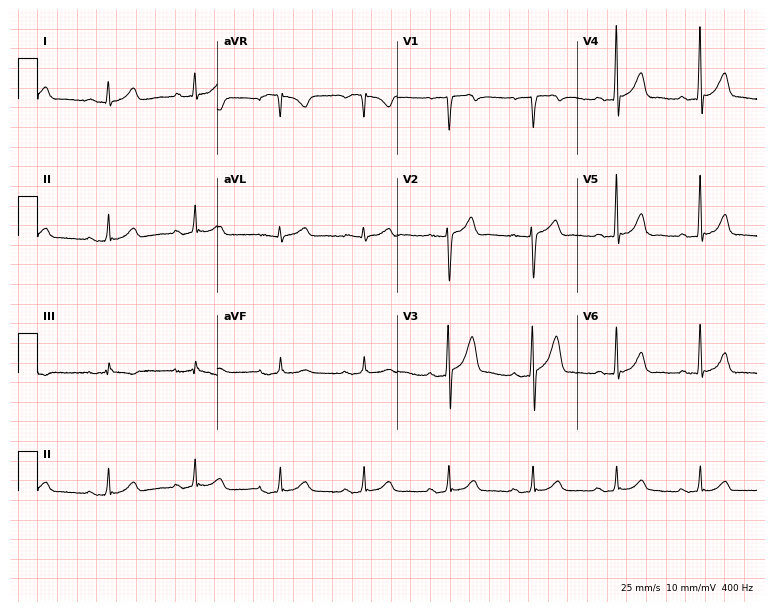
Standard 12-lead ECG recorded from a male patient, 49 years old (7.3-second recording at 400 Hz). Read as a normal ECG.